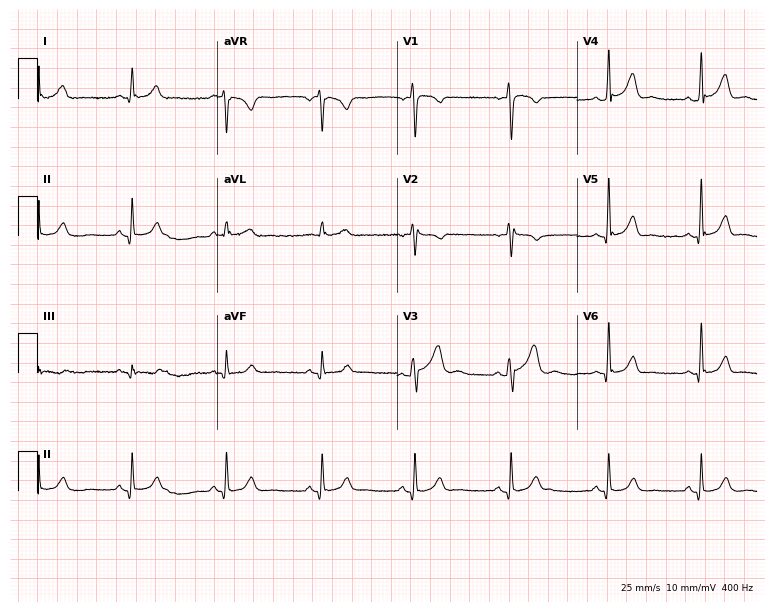
Standard 12-lead ECG recorded from a 37-year-old male (7.3-second recording at 400 Hz). Read as a normal ECG.